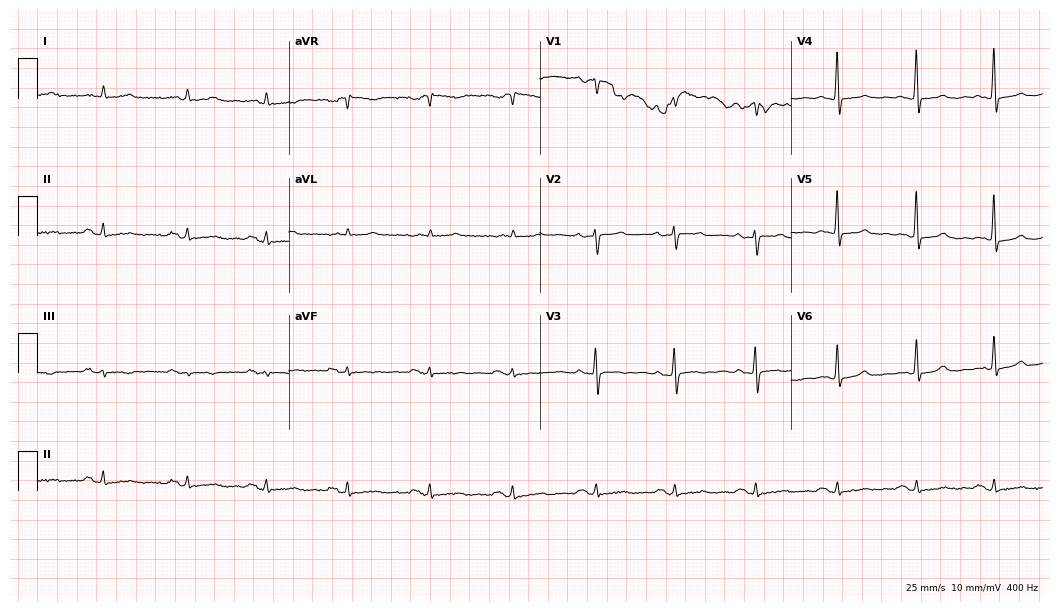
Standard 12-lead ECG recorded from a 51-year-old female patient (10.2-second recording at 400 Hz). None of these six findings is recorded: first-degree AV block, right bundle branch block, left bundle branch block, sinus bradycardia, atrial fibrillation, sinus tachycardia.